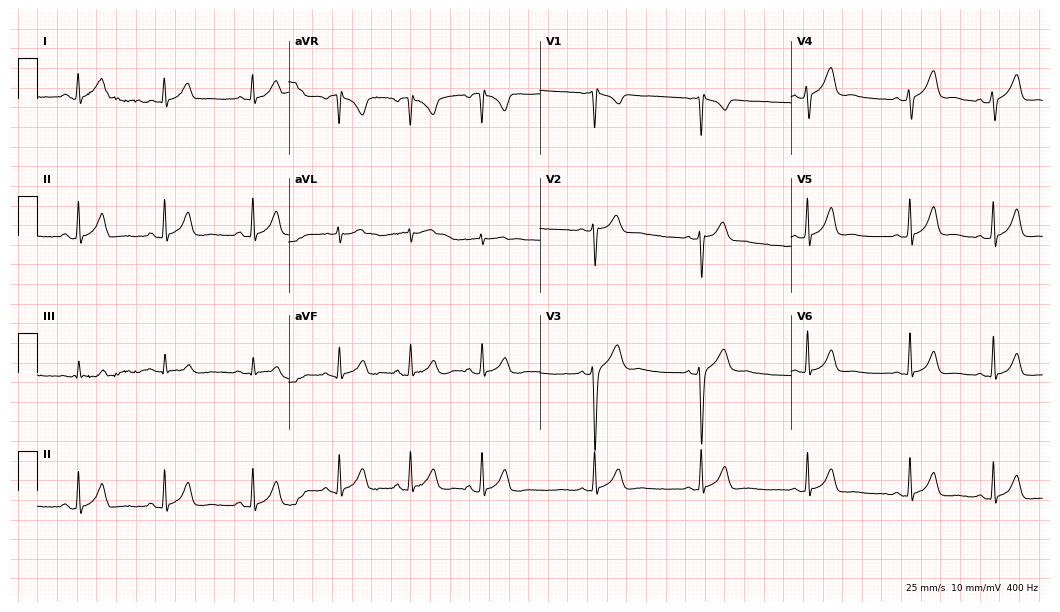
ECG (10.2-second recording at 400 Hz) — a 27-year-old man. Screened for six findings — first-degree AV block, right bundle branch block, left bundle branch block, sinus bradycardia, atrial fibrillation, sinus tachycardia — none is recorded. Other findings, if any, are not listed.